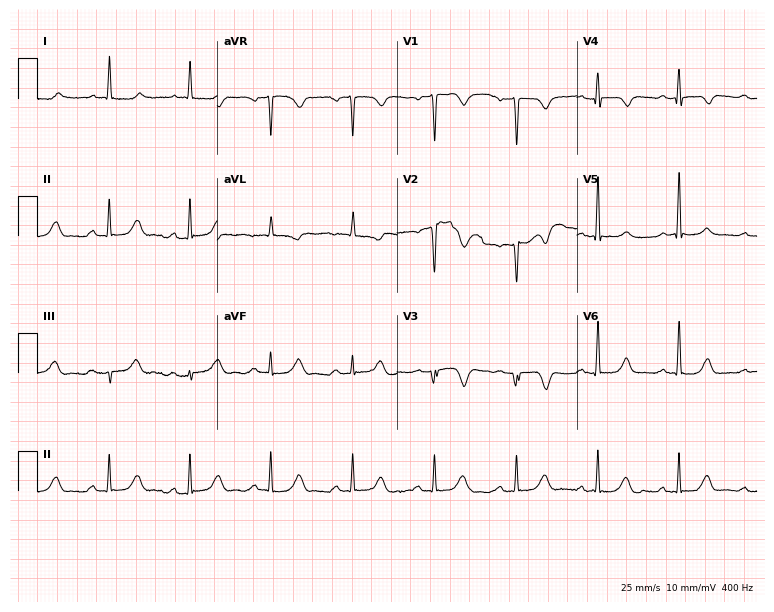
12-lead ECG (7.3-second recording at 400 Hz) from a 68-year-old female. Screened for six findings — first-degree AV block, right bundle branch block, left bundle branch block, sinus bradycardia, atrial fibrillation, sinus tachycardia — none is recorded.